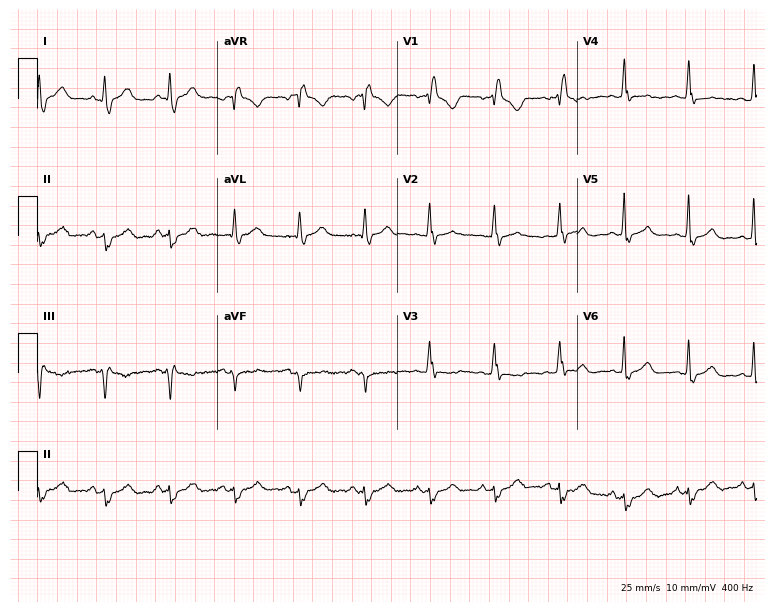
12-lead ECG (7.3-second recording at 400 Hz) from a 38-year-old female patient. Findings include right bundle branch block.